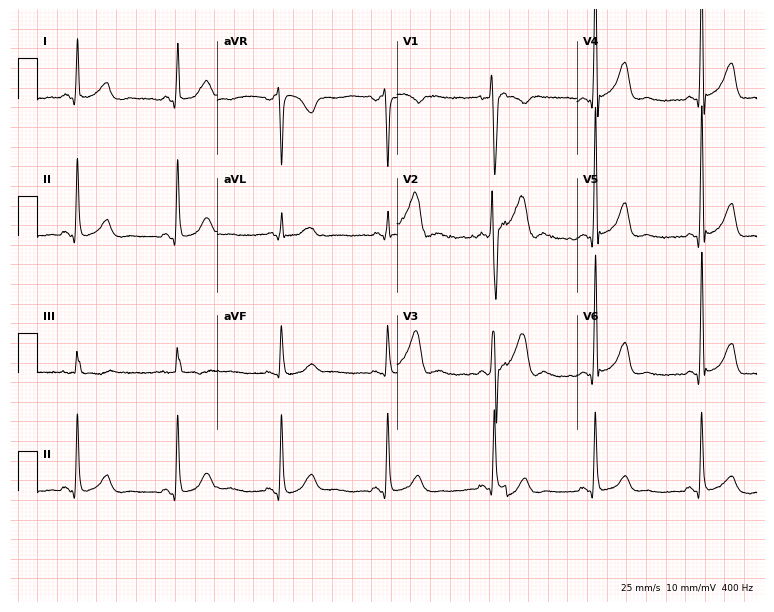
Electrocardiogram (7.3-second recording at 400 Hz), a woman, 36 years old. Of the six screened findings (first-degree AV block, right bundle branch block, left bundle branch block, sinus bradycardia, atrial fibrillation, sinus tachycardia), none is recorded. Findings outside these six are not listed.